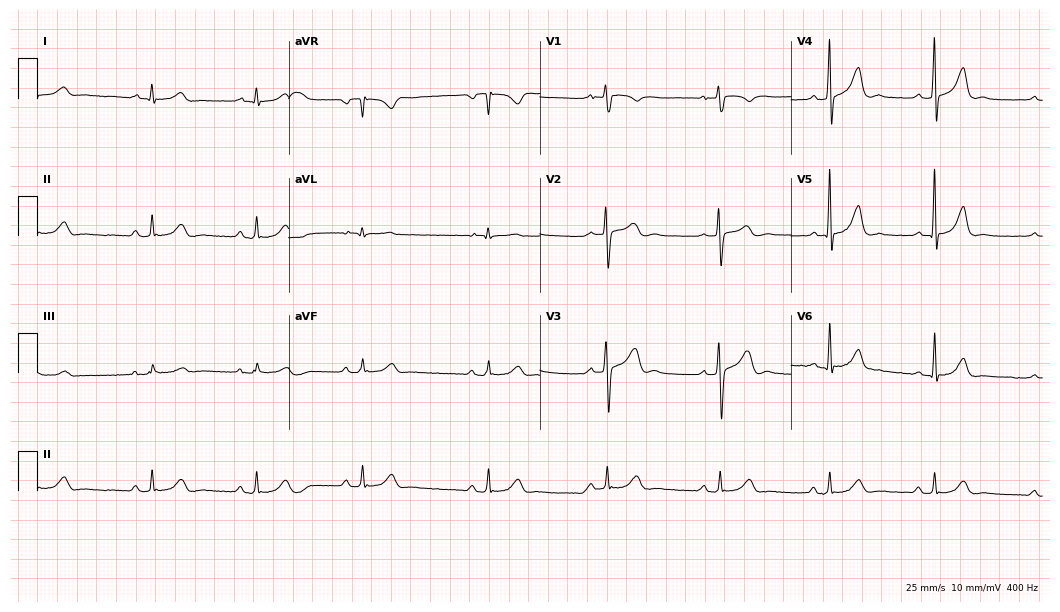
12-lead ECG from a male, 30 years old (10.2-second recording at 400 Hz). Recorded interpretation: within normal limits.